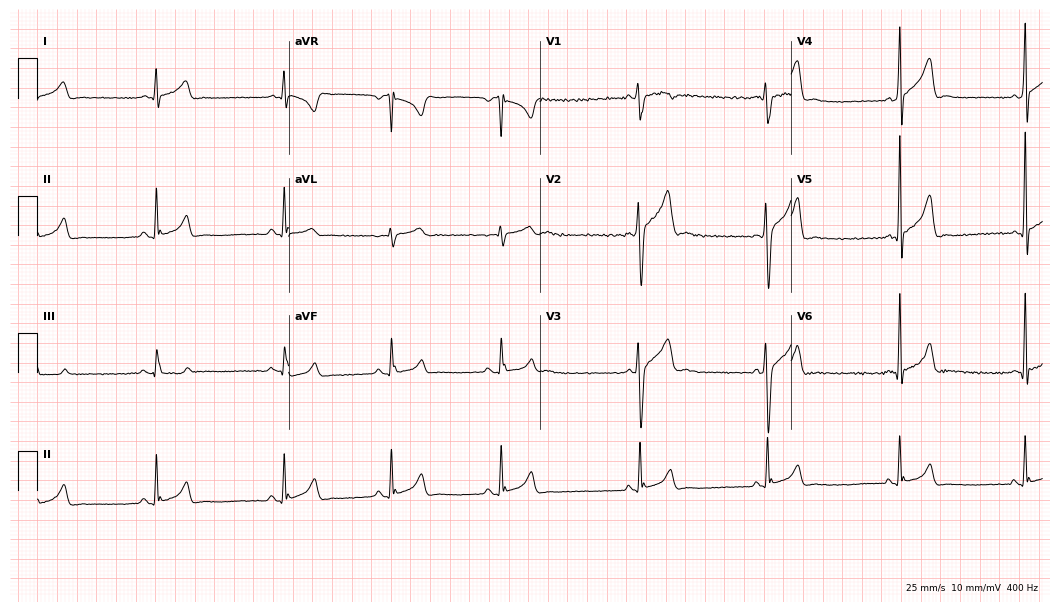
ECG (10.2-second recording at 400 Hz) — an 18-year-old male. Findings include sinus bradycardia (a sinus rate of 50 beats per minute or less).